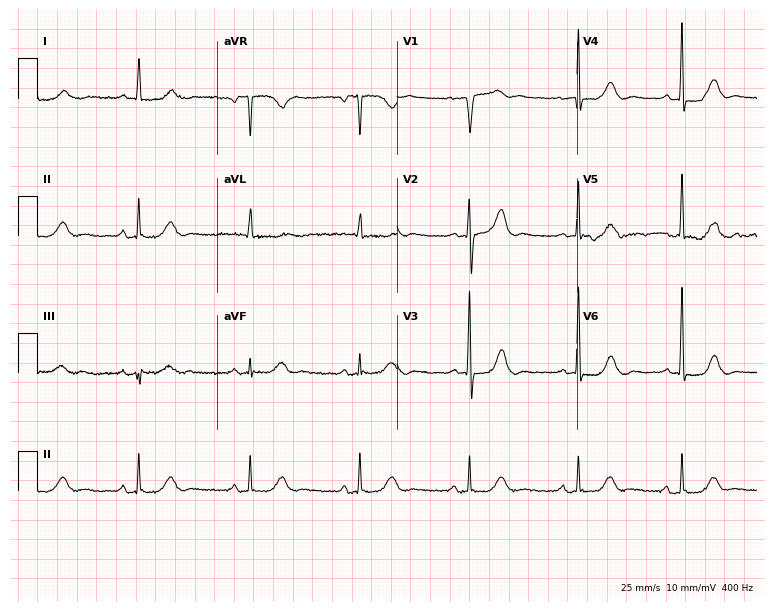
Resting 12-lead electrocardiogram. Patient: a female, 84 years old. None of these six findings is recorded: first-degree AV block, right bundle branch block, left bundle branch block, sinus bradycardia, atrial fibrillation, sinus tachycardia.